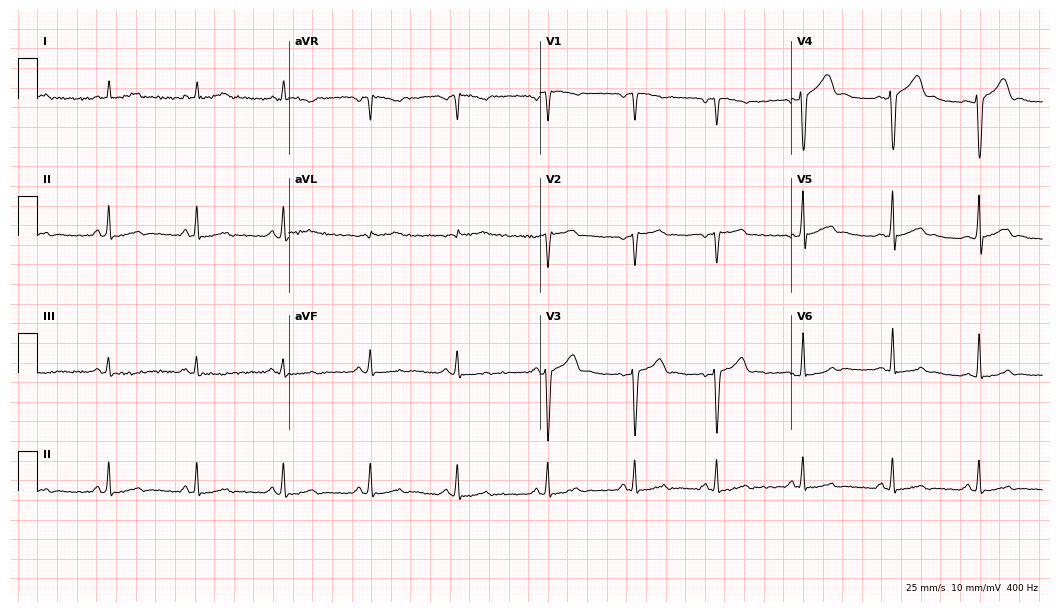
ECG — a female, 65 years old. Labelled as a normal ECG.